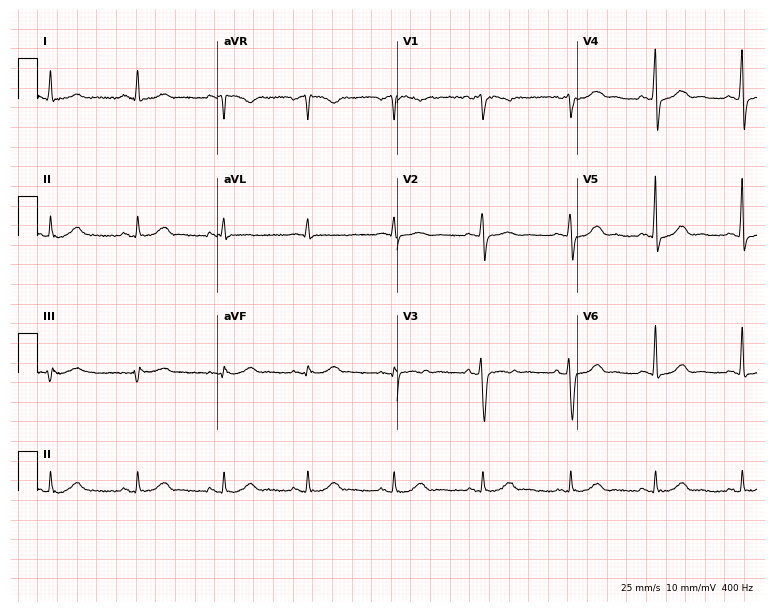
12-lead ECG from a female patient, 42 years old. Recorded interpretation: within normal limits.